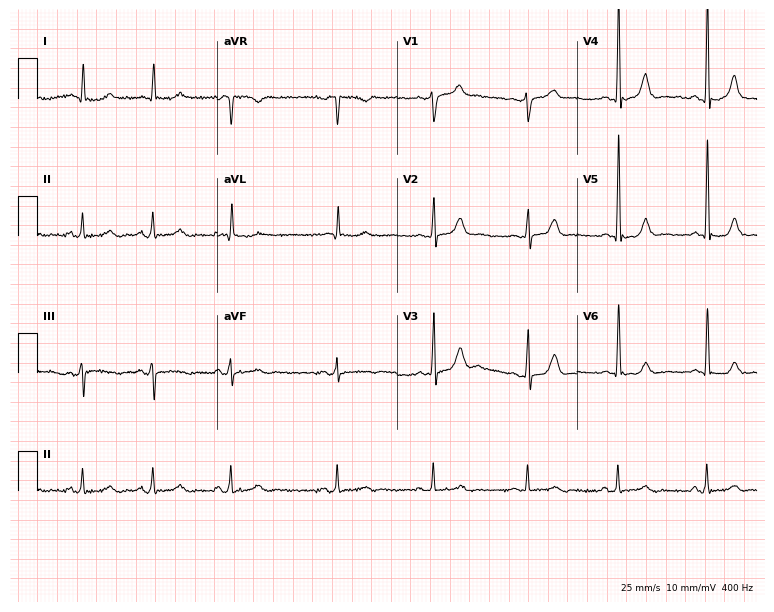
12-lead ECG from a 60-year-old male patient (7.3-second recording at 400 Hz). No first-degree AV block, right bundle branch block, left bundle branch block, sinus bradycardia, atrial fibrillation or sinus tachycardia recorded for this tracing.